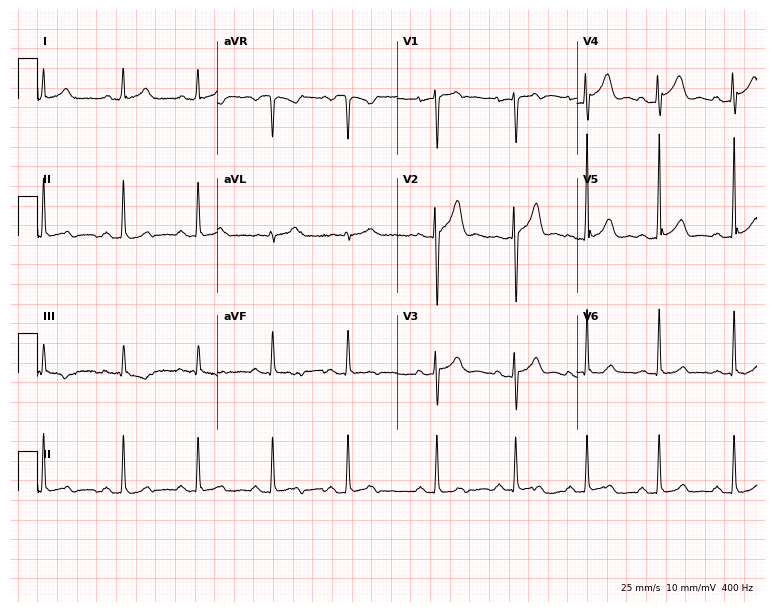
Resting 12-lead electrocardiogram. Patient: a man, 36 years old. None of these six findings is recorded: first-degree AV block, right bundle branch block (RBBB), left bundle branch block (LBBB), sinus bradycardia, atrial fibrillation (AF), sinus tachycardia. Findings outside these six are not listed.